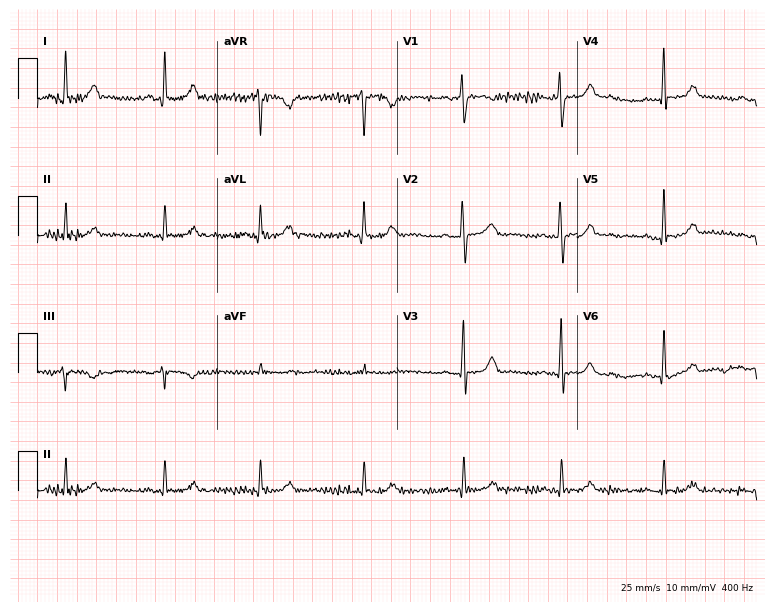
ECG (7.3-second recording at 400 Hz) — a female patient, 44 years old. Labelled as a normal ECG.